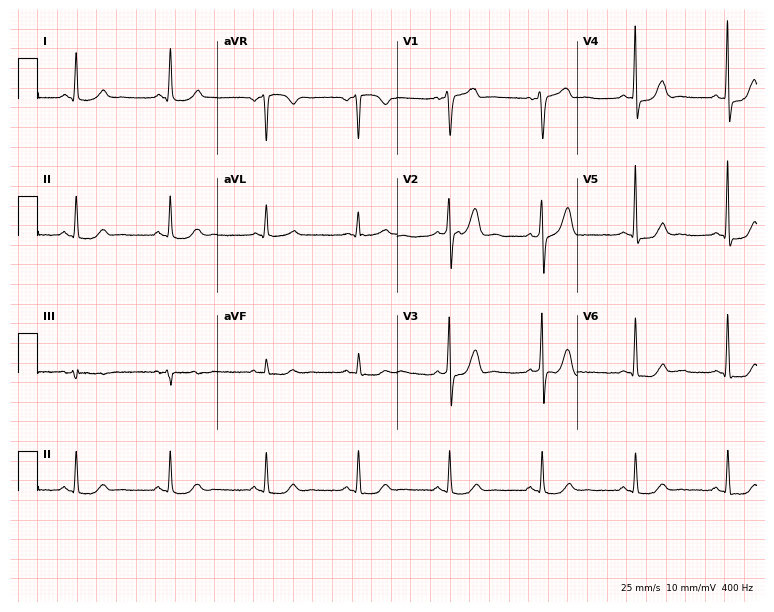
12-lead ECG from a 44-year-old man. No first-degree AV block, right bundle branch block, left bundle branch block, sinus bradycardia, atrial fibrillation or sinus tachycardia recorded for this tracing.